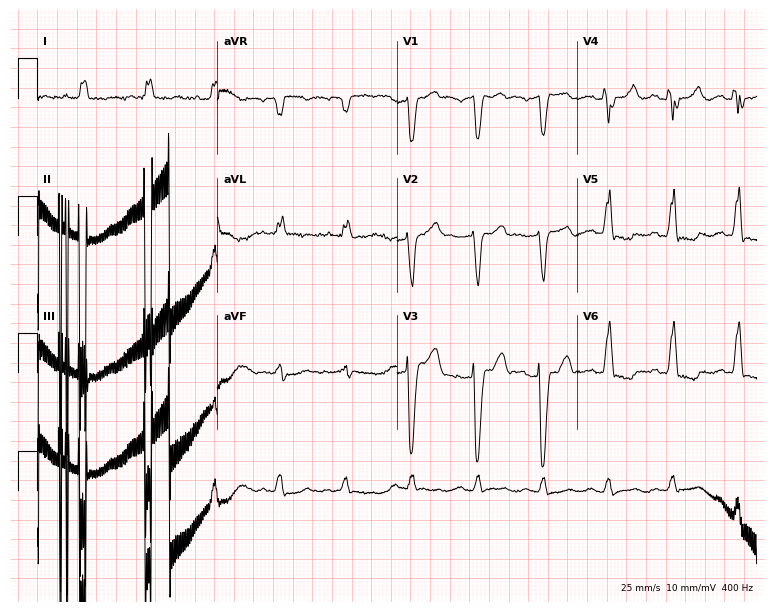
Standard 12-lead ECG recorded from an 81-year-old man. The tracing shows left bundle branch block, atrial fibrillation.